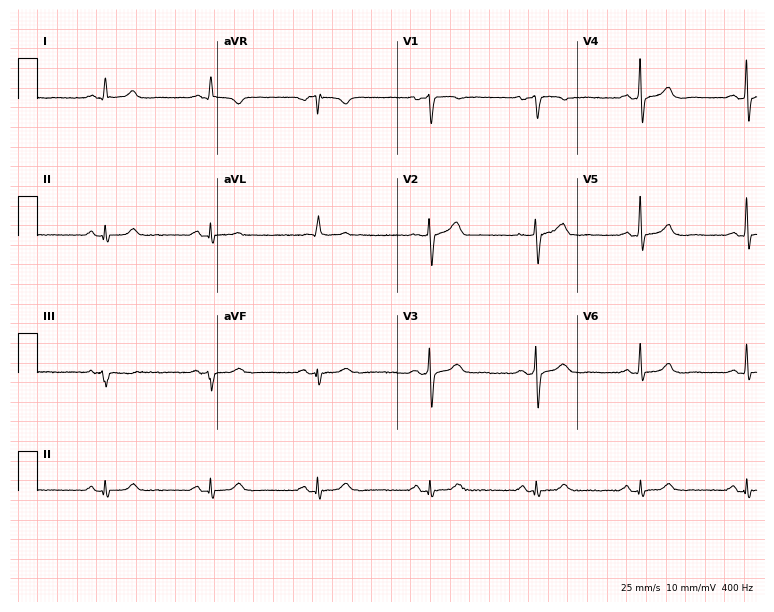
ECG (7.3-second recording at 400 Hz) — a man, 74 years old. Labelled as a normal ECG.